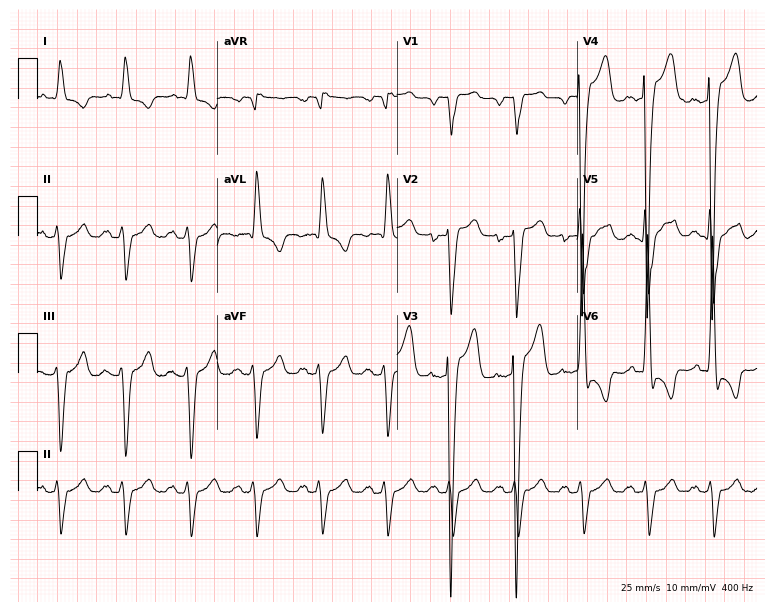
12-lead ECG from a 70-year-old man (7.3-second recording at 400 Hz). Shows left bundle branch block (LBBB).